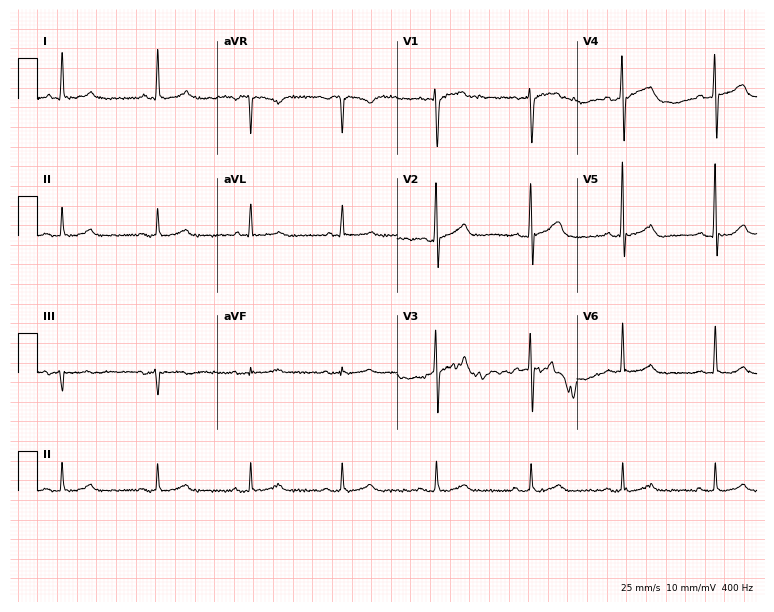
ECG — a male patient, 66 years old. Screened for six findings — first-degree AV block, right bundle branch block (RBBB), left bundle branch block (LBBB), sinus bradycardia, atrial fibrillation (AF), sinus tachycardia — none is recorded.